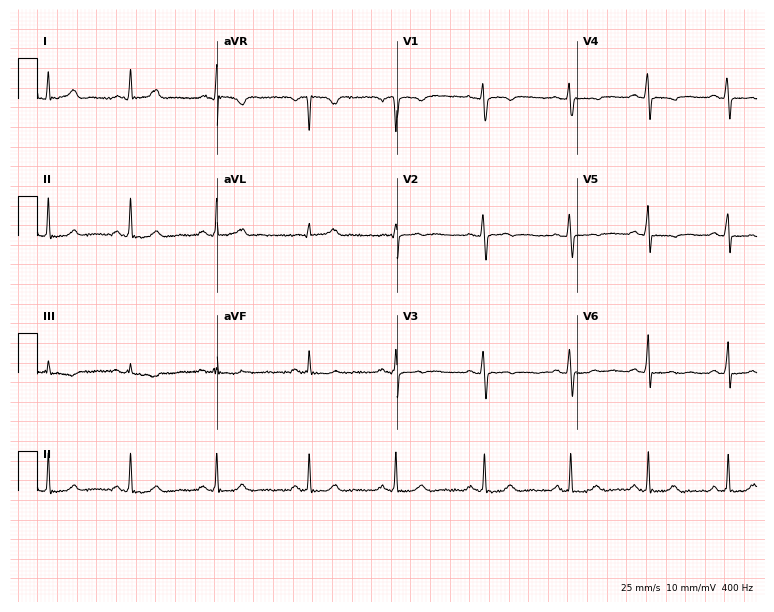
ECG — a 40-year-old woman. Labelled as a normal ECG.